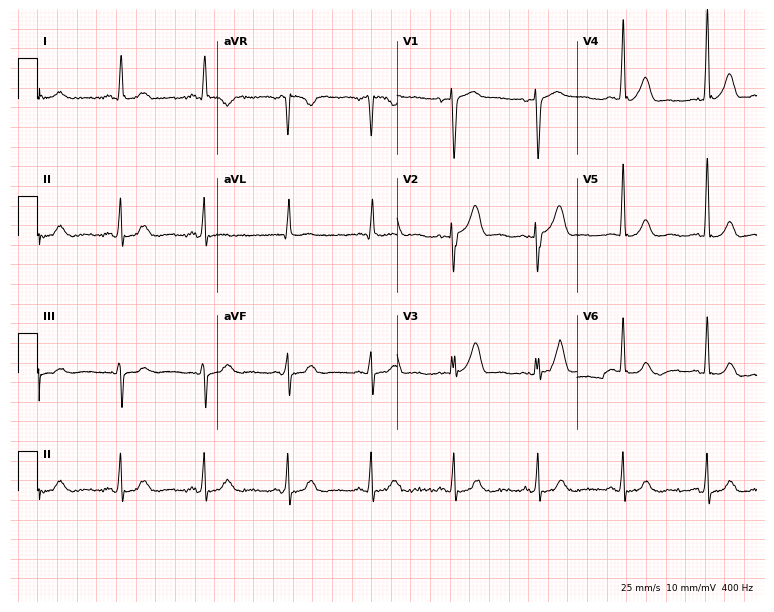
Electrocardiogram, a 57-year-old female. Overall reading on record: normal ECG.